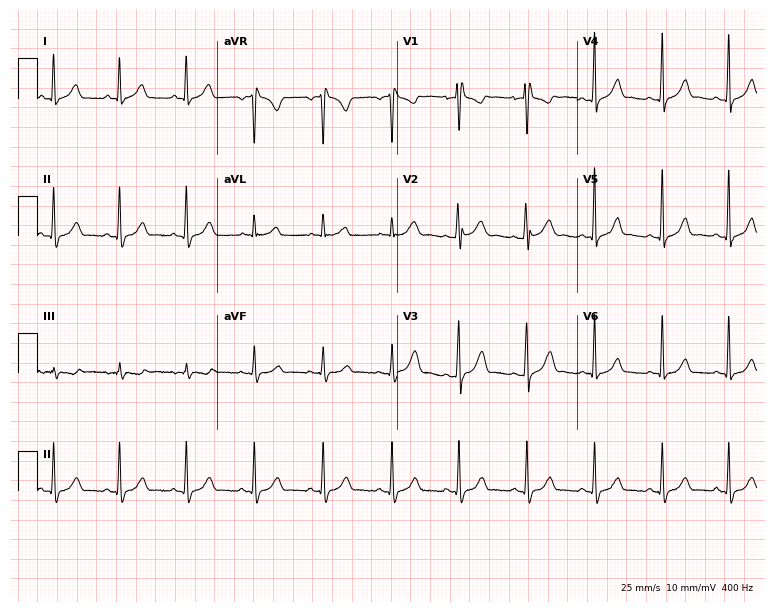
ECG — a woman, 27 years old. Screened for six findings — first-degree AV block, right bundle branch block (RBBB), left bundle branch block (LBBB), sinus bradycardia, atrial fibrillation (AF), sinus tachycardia — none is recorded. Findings outside these six are not listed.